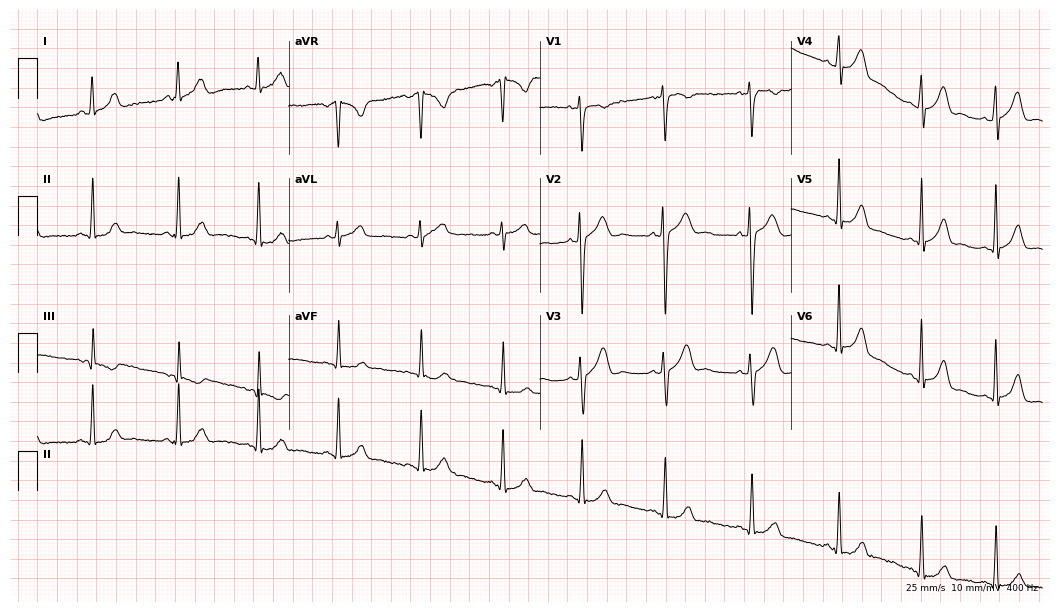
12-lead ECG from a 27-year-old female (10.2-second recording at 400 Hz). Recorded interpretation: within normal limits.